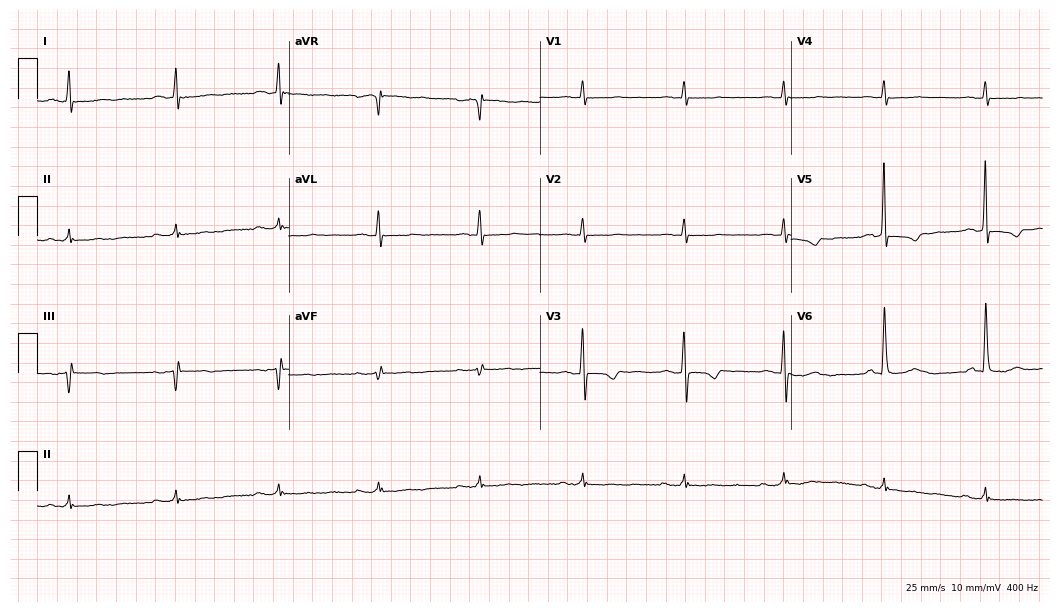
Resting 12-lead electrocardiogram. Patient: a 72-year-old female. None of these six findings is recorded: first-degree AV block, right bundle branch block, left bundle branch block, sinus bradycardia, atrial fibrillation, sinus tachycardia.